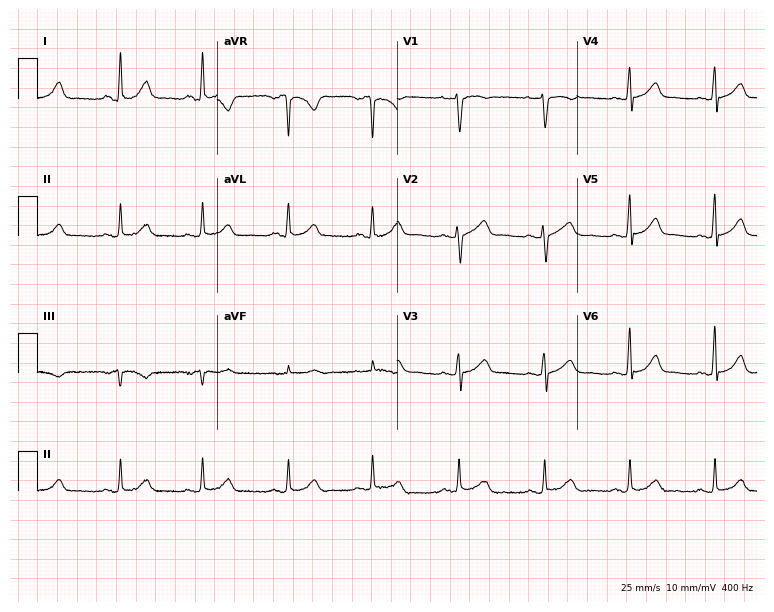
12-lead ECG from a 28-year-old female patient (7.3-second recording at 400 Hz). Recorded interpretation: within normal limits.